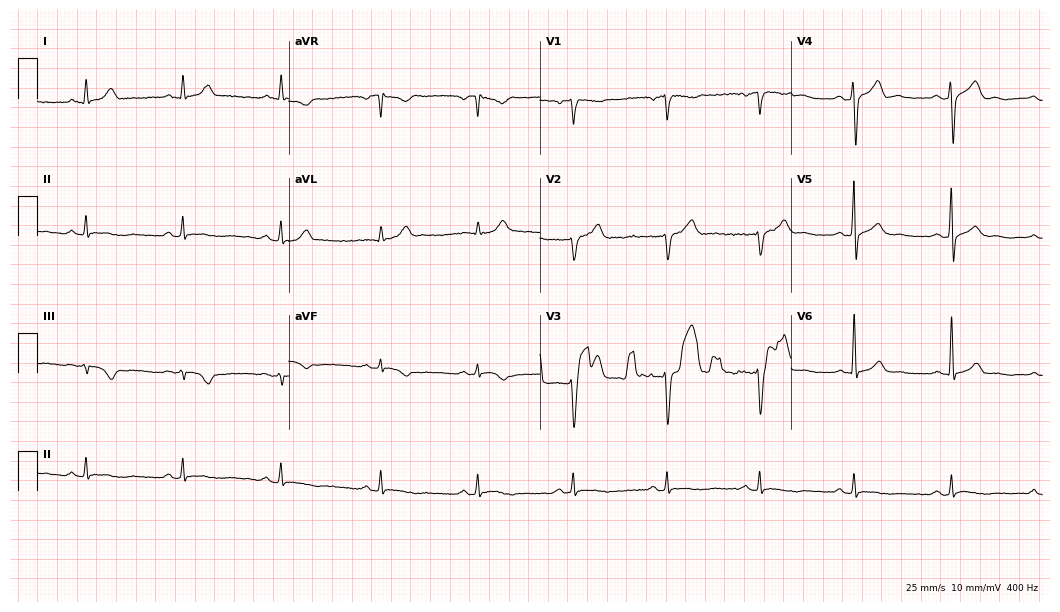
12-lead ECG from a 49-year-old male (10.2-second recording at 400 Hz). No first-degree AV block, right bundle branch block (RBBB), left bundle branch block (LBBB), sinus bradycardia, atrial fibrillation (AF) or sinus tachycardia recorded for this tracing.